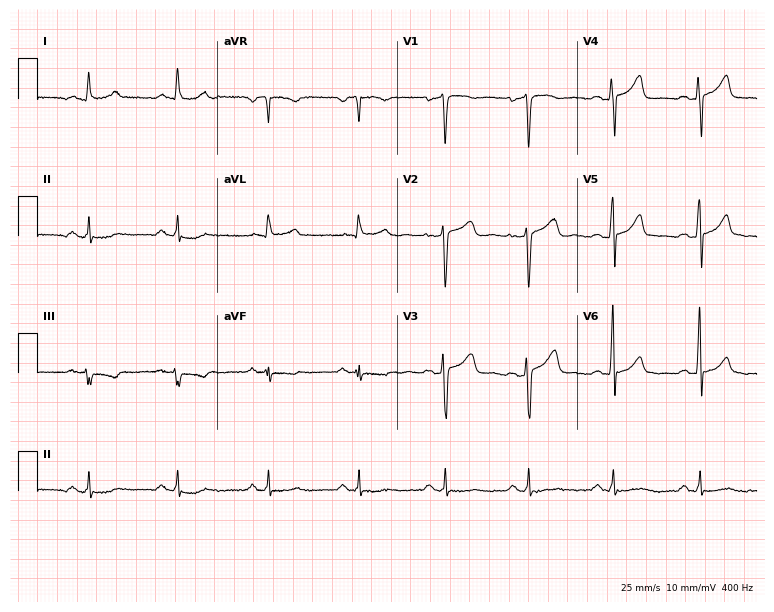
12-lead ECG from a 41-year-old male patient (7.3-second recording at 400 Hz). No first-degree AV block, right bundle branch block (RBBB), left bundle branch block (LBBB), sinus bradycardia, atrial fibrillation (AF) or sinus tachycardia recorded for this tracing.